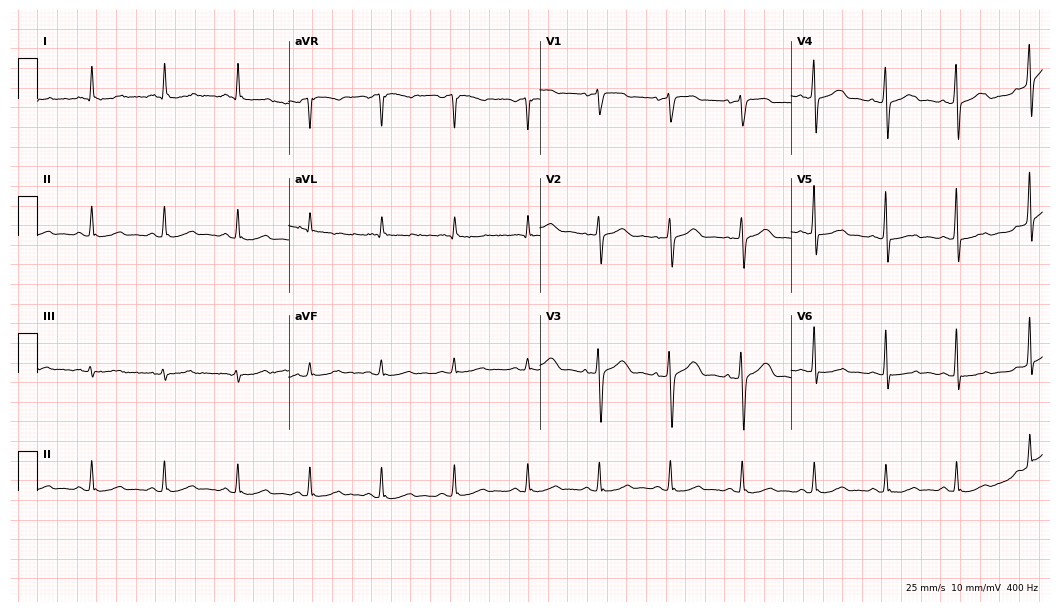
Resting 12-lead electrocardiogram. Patient: a female, 58 years old. Read as a normal ECG.